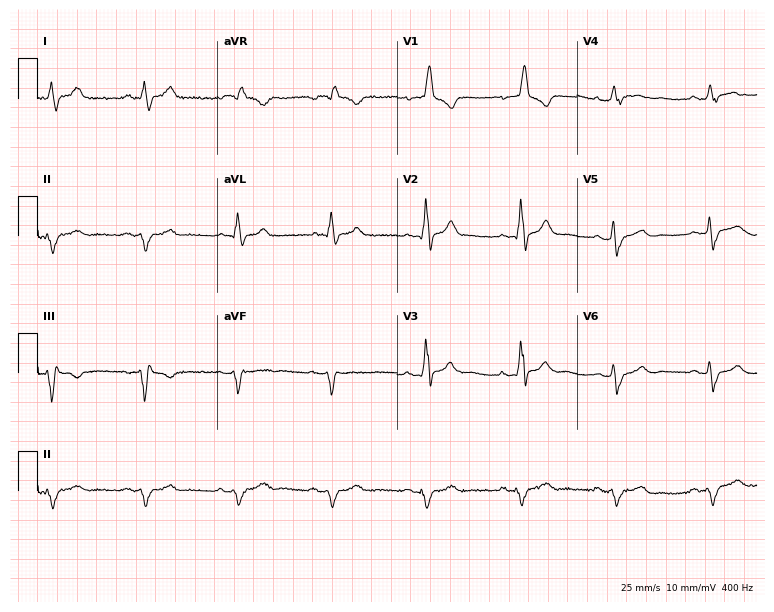
12-lead ECG from a male, 75 years old. Findings include right bundle branch block.